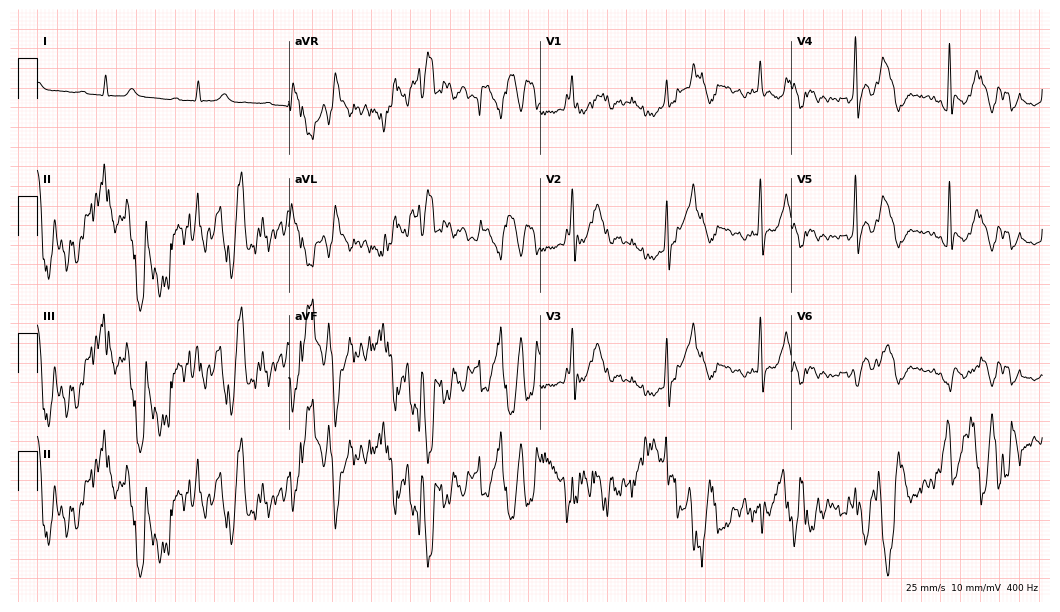
ECG (10.2-second recording at 400 Hz) — a male patient, 85 years old. Screened for six findings — first-degree AV block, right bundle branch block (RBBB), left bundle branch block (LBBB), sinus bradycardia, atrial fibrillation (AF), sinus tachycardia — none is recorded. Only these six findings were labelled.